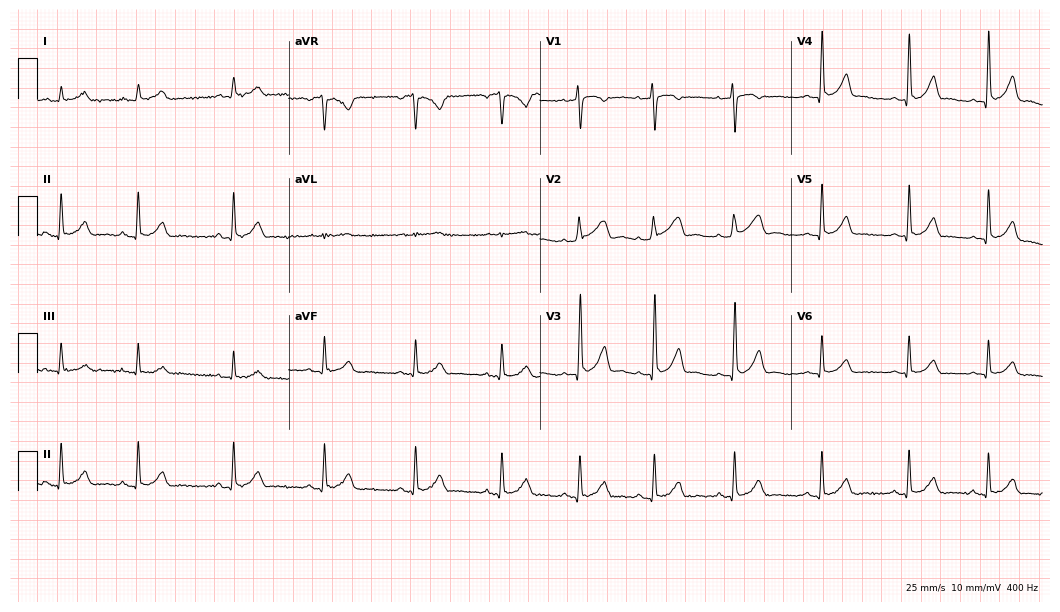
Standard 12-lead ECG recorded from a female, 40 years old (10.2-second recording at 400 Hz). Read as a normal ECG.